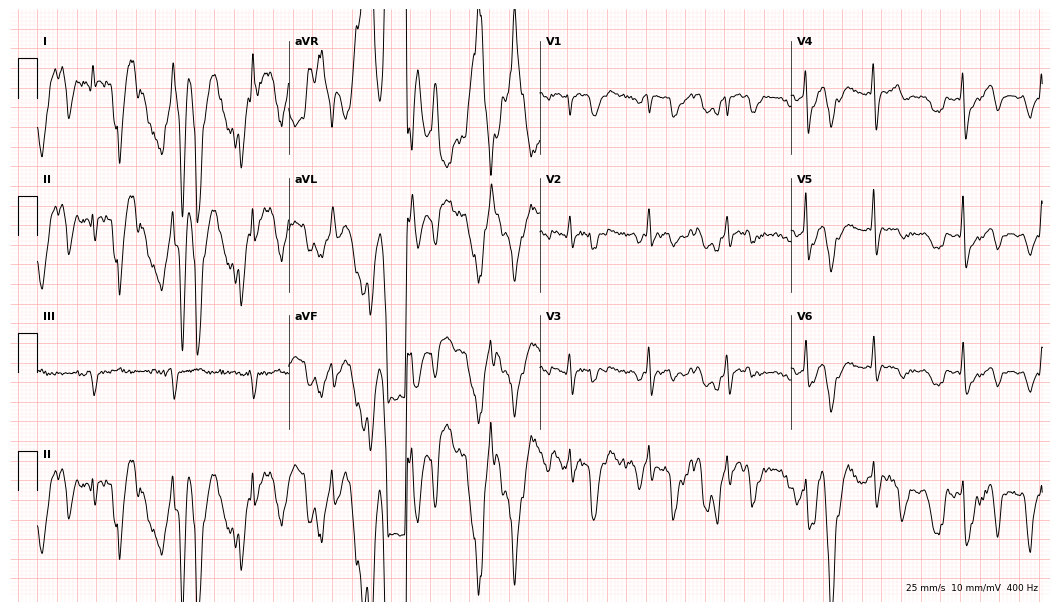
ECG — a female patient, 63 years old. Labelled as a normal ECG.